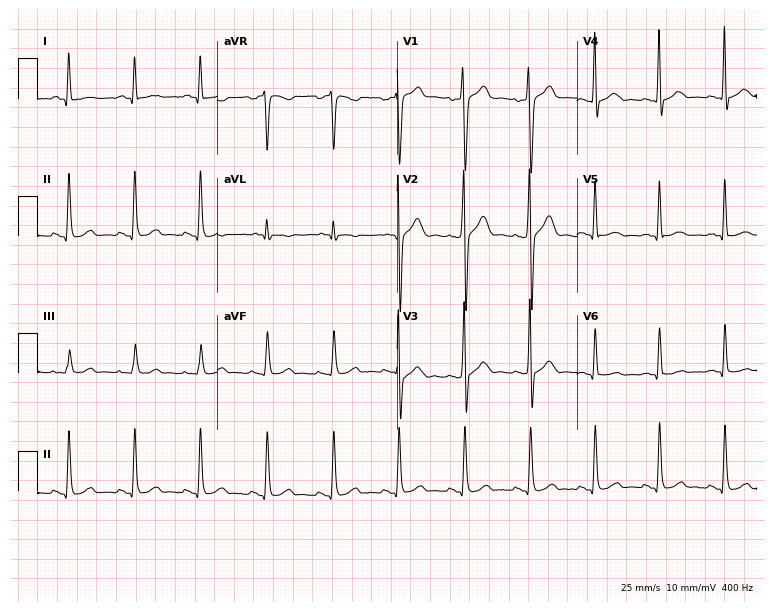
Standard 12-lead ECG recorded from a man, 38 years old (7.3-second recording at 400 Hz). None of these six findings is recorded: first-degree AV block, right bundle branch block, left bundle branch block, sinus bradycardia, atrial fibrillation, sinus tachycardia.